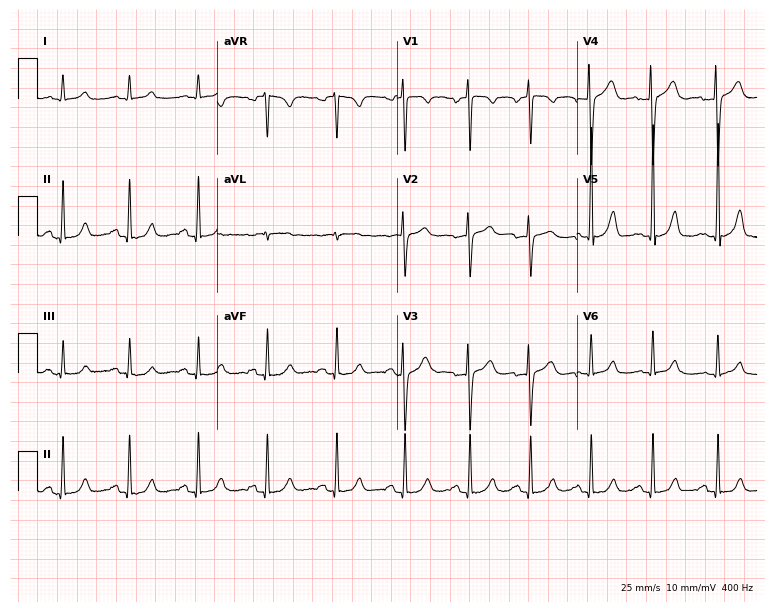
Standard 12-lead ECG recorded from a 36-year-old female (7.3-second recording at 400 Hz). None of these six findings is recorded: first-degree AV block, right bundle branch block, left bundle branch block, sinus bradycardia, atrial fibrillation, sinus tachycardia.